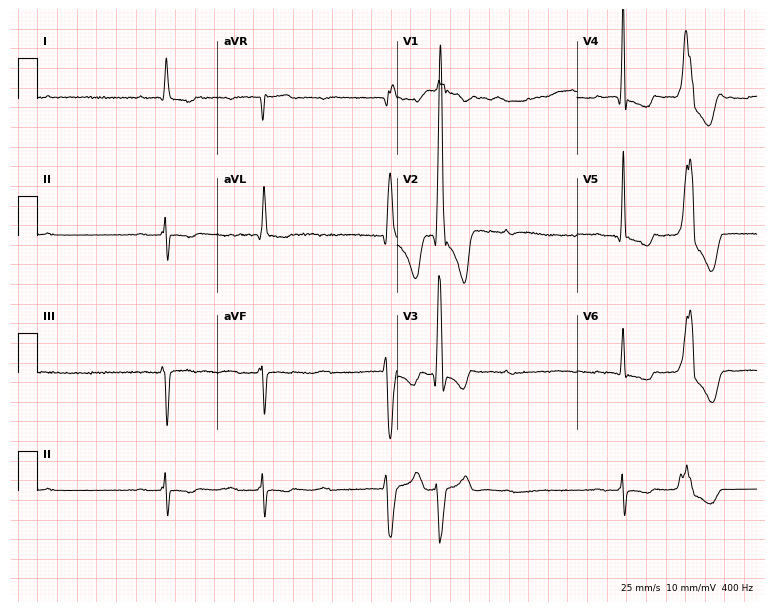
12-lead ECG from a 53-year-old male patient. Screened for six findings — first-degree AV block, right bundle branch block, left bundle branch block, sinus bradycardia, atrial fibrillation, sinus tachycardia — none is recorded.